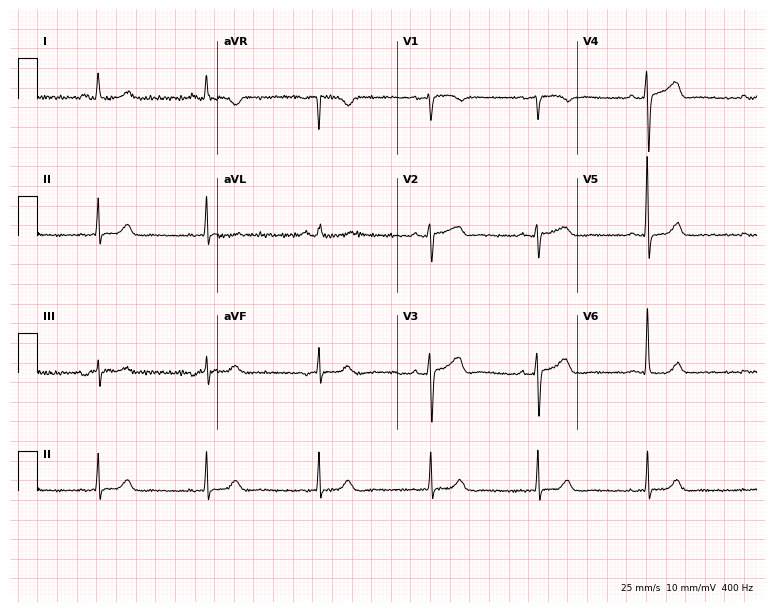
Standard 12-lead ECG recorded from a female, 71 years old (7.3-second recording at 400 Hz). Read as a normal ECG.